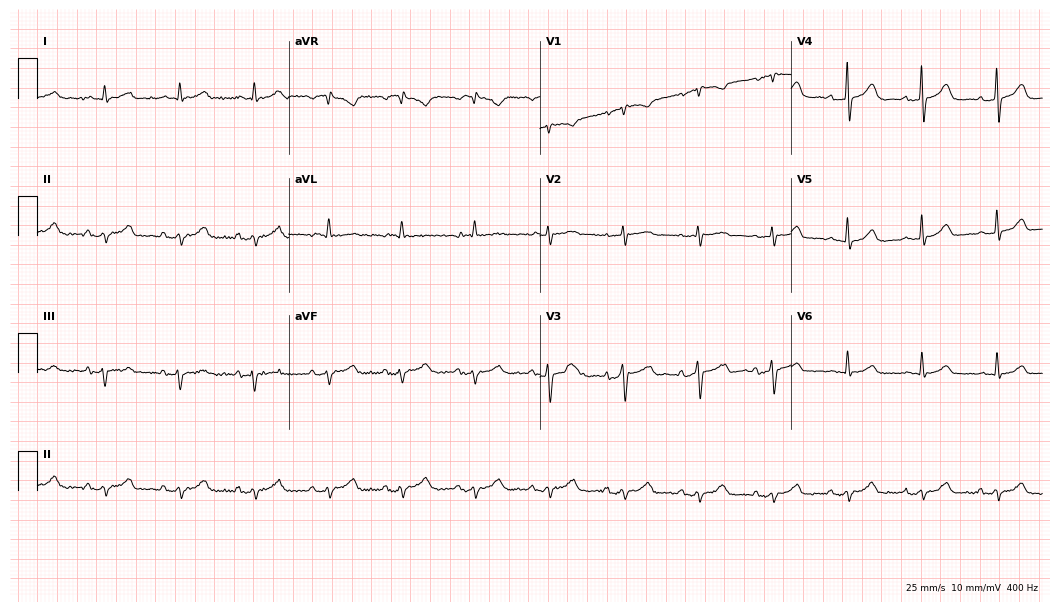
Standard 12-lead ECG recorded from a woman, 83 years old. None of these six findings is recorded: first-degree AV block, right bundle branch block, left bundle branch block, sinus bradycardia, atrial fibrillation, sinus tachycardia. Findings outside these six are not listed.